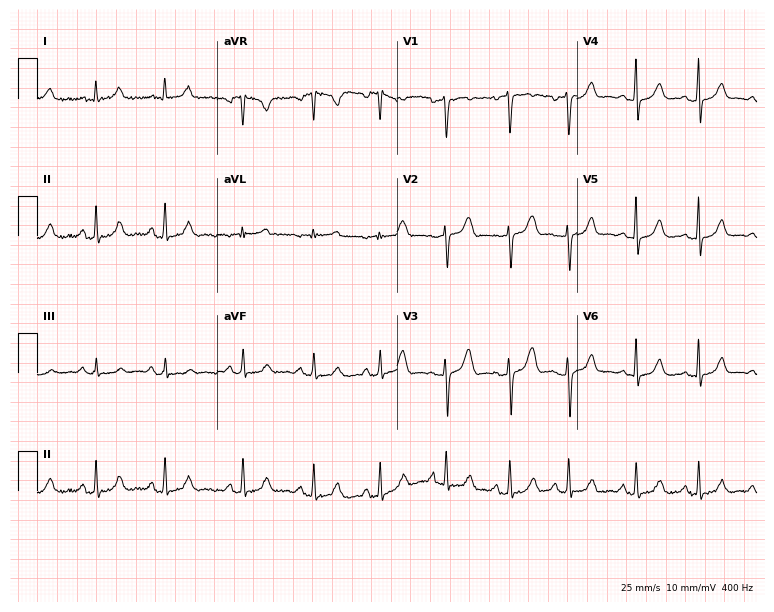
12-lead ECG (7.3-second recording at 400 Hz) from a woman, 23 years old. Labelled as a normal ECG.